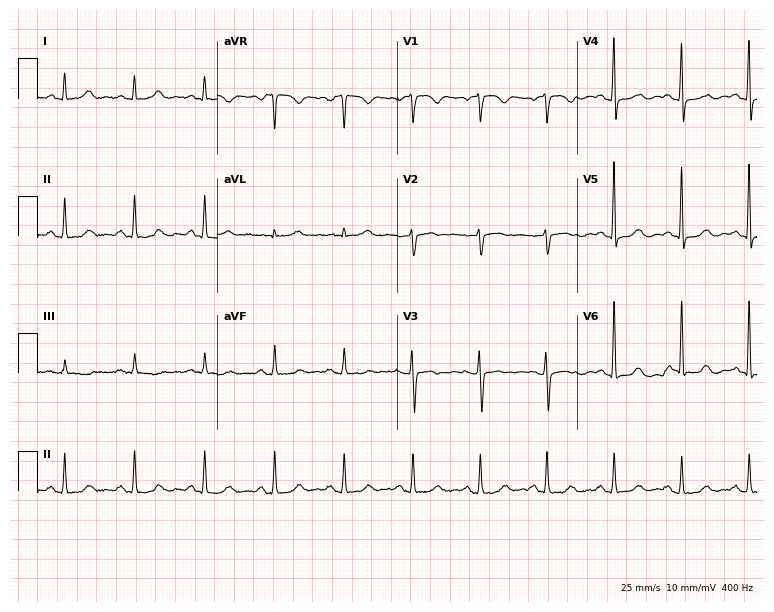
Electrocardiogram, a woman, 62 years old. Overall reading on record: normal ECG.